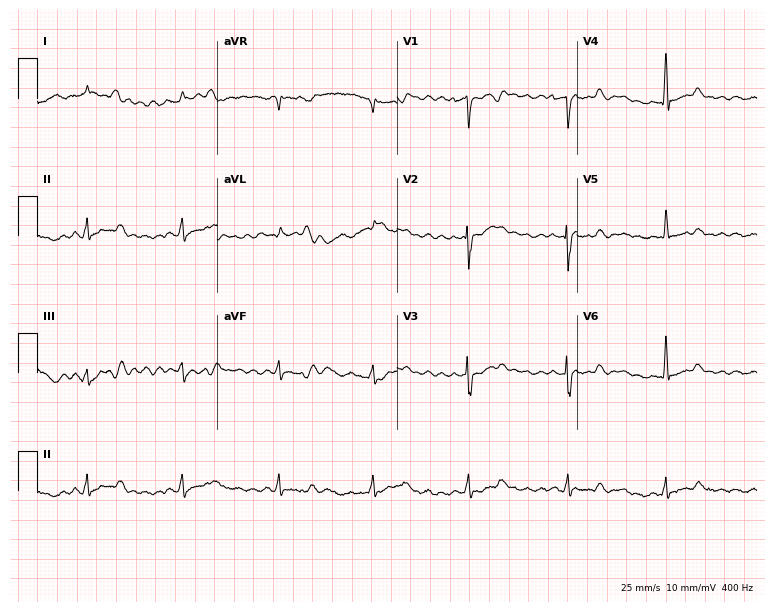
Electrocardiogram (7.3-second recording at 400 Hz), a female patient, 41 years old. Of the six screened findings (first-degree AV block, right bundle branch block, left bundle branch block, sinus bradycardia, atrial fibrillation, sinus tachycardia), none is recorded.